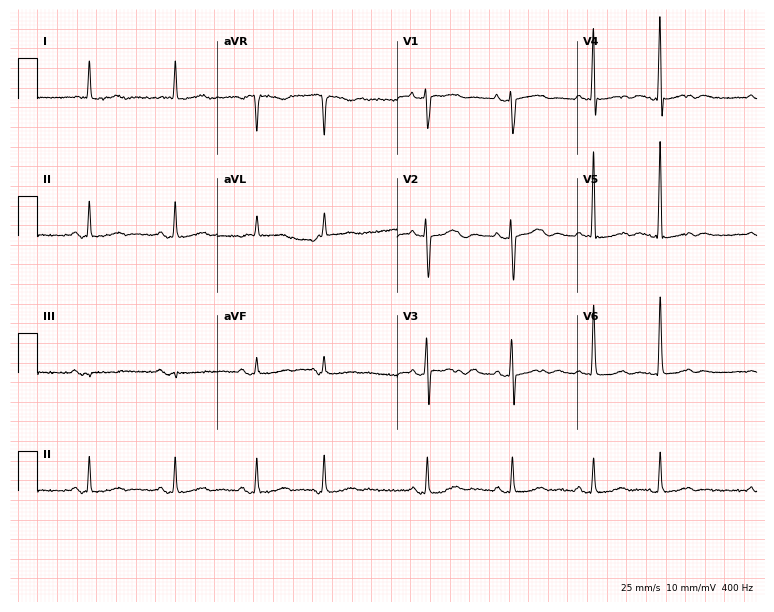
Resting 12-lead electrocardiogram (7.3-second recording at 400 Hz). Patient: a woman, 85 years old. None of these six findings is recorded: first-degree AV block, right bundle branch block, left bundle branch block, sinus bradycardia, atrial fibrillation, sinus tachycardia.